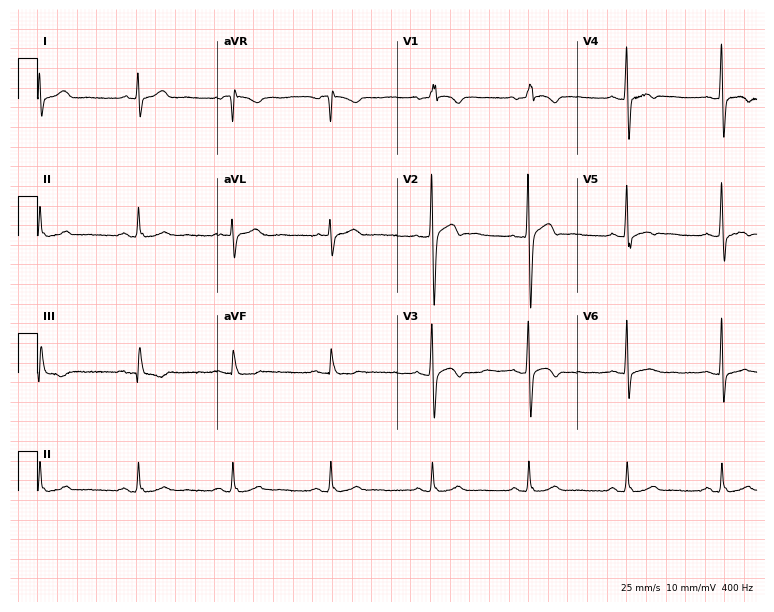
Standard 12-lead ECG recorded from a male patient, 48 years old (7.3-second recording at 400 Hz). Read as a normal ECG.